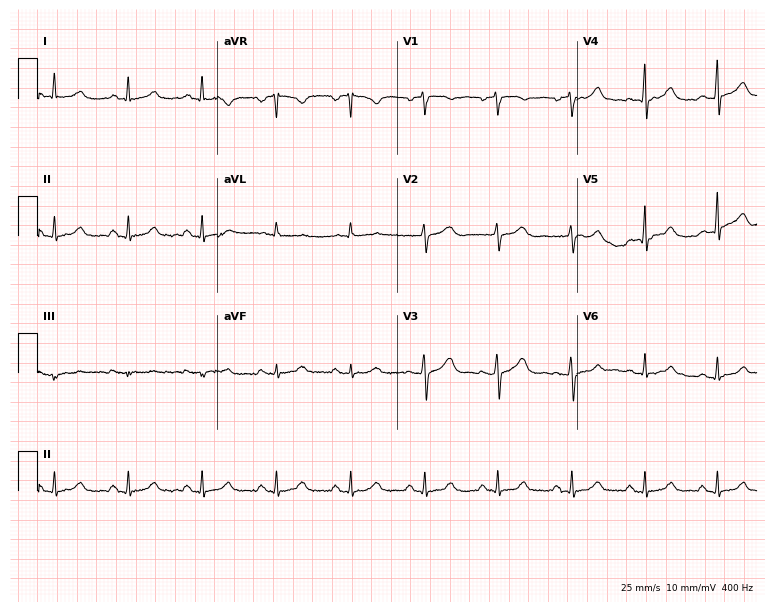
Resting 12-lead electrocardiogram. Patient: a 71-year-old female. Read as a normal ECG.